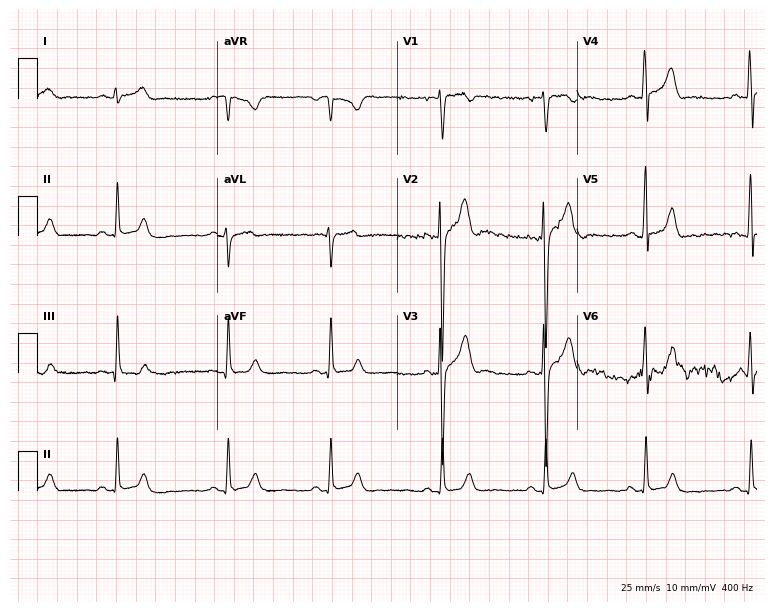
12-lead ECG from a man, 24 years old. Labelled as a normal ECG.